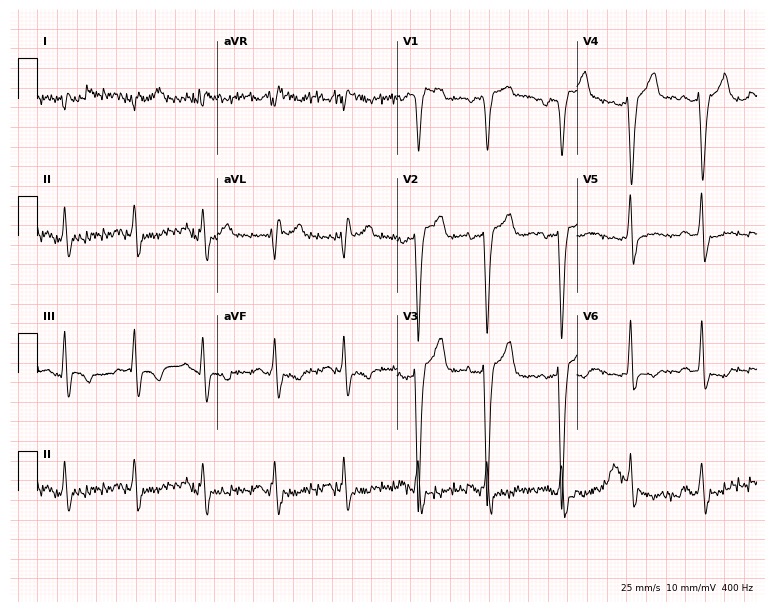
12-lead ECG from a 71-year-old male. Findings include left bundle branch block.